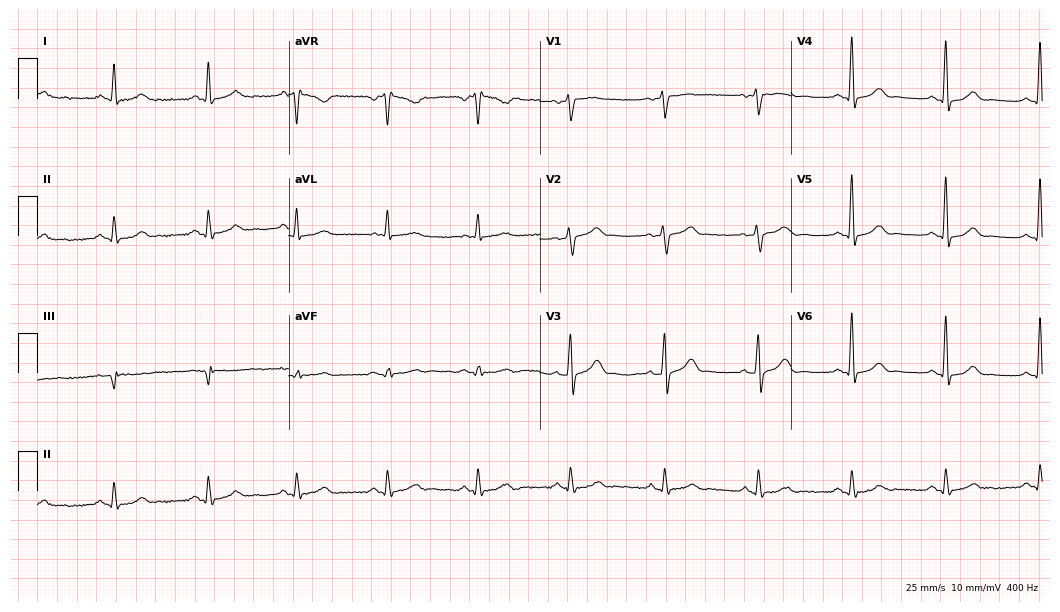
Resting 12-lead electrocardiogram. Patient: a male, 57 years old. Read as a normal ECG.